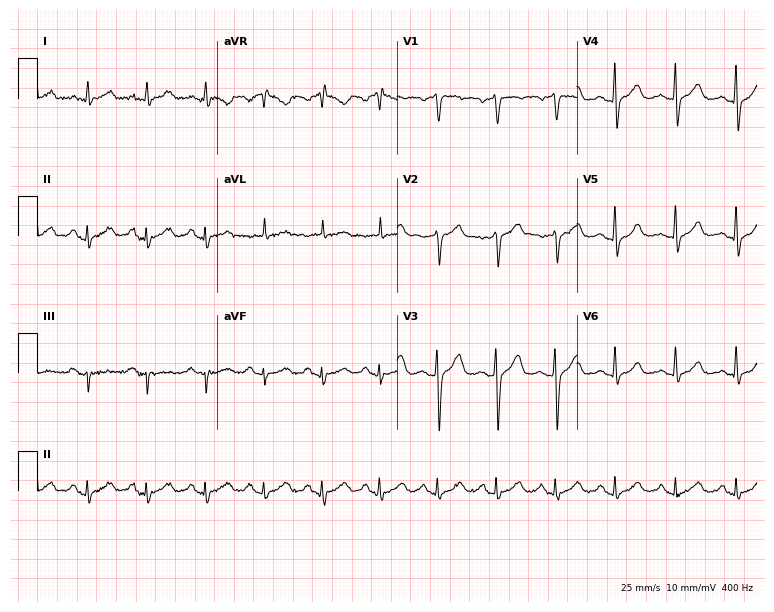
Electrocardiogram (7.3-second recording at 400 Hz), a 52-year-old male. Of the six screened findings (first-degree AV block, right bundle branch block, left bundle branch block, sinus bradycardia, atrial fibrillation, sinus tachycardia), none is recorded. Findings outside these six are not listed.